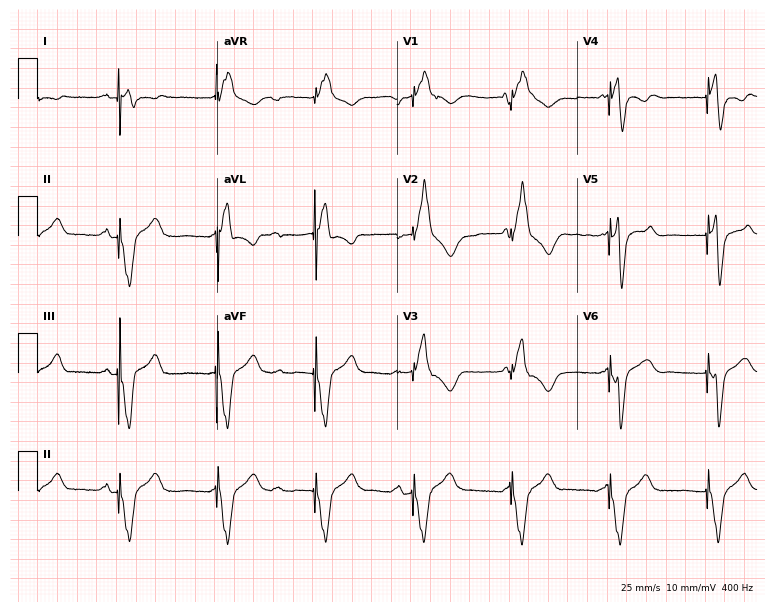
Standard 12-lead ECG recorded from a male patient, 52 years old. None of these six findings is recorded: first-degree AV block, right bundle branch block (RBBB), left bundle branch block (LBBB), sinus bradycardia, atrial fibrillation (AF), sinus tachycardia. Other findings, if any, are not listed.